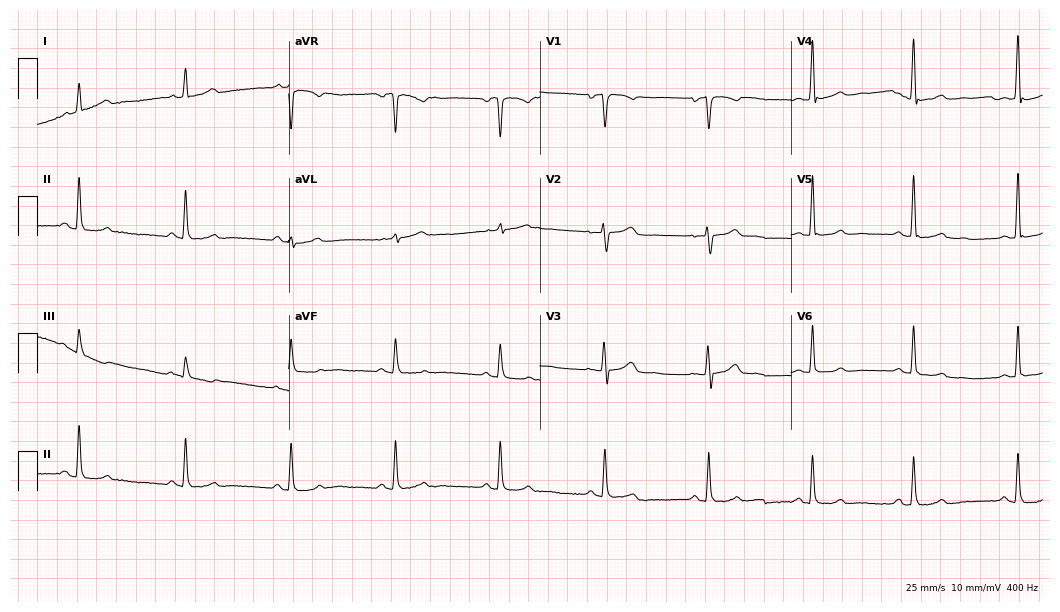
ECG — a 71-year-old female patient. Screened for six findings — first-degree AV block, right bundle branch block (RBBB), left bundle branch block (LBBB), sinus bradycardia, atrial fibrillation (AF), sinus tachycardia — none is recorded.